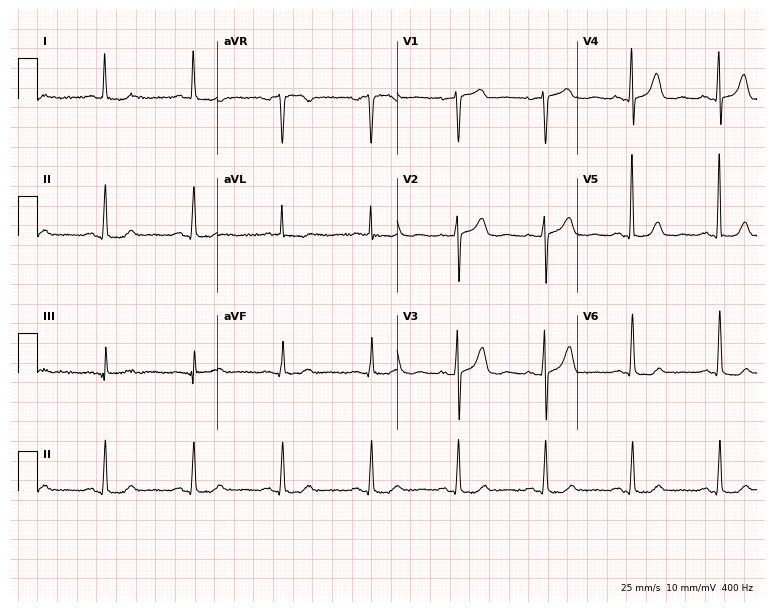
12-lead ECG from a woman, 76 years old. Screened for six findings — first-degree AV block, right bundle branch block (RBBB), left bundle branch block (LBBB), sinus bradycardia, atrial fibrillation (AF), sinus tachycardia — none is recorded. Only these six findings were labelled.